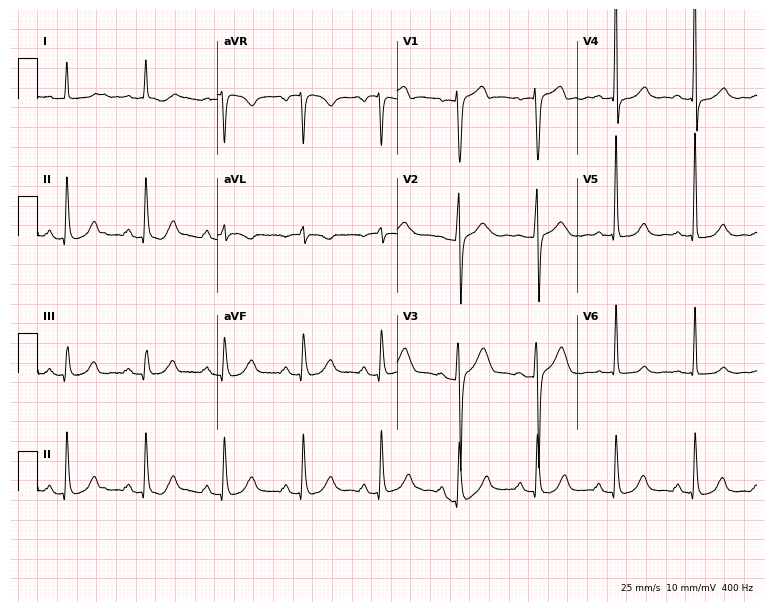
Electrocardiogram (7.3-second recording at 400 Hz), a man, 73 years old. Overall reading on record: normal ECG.